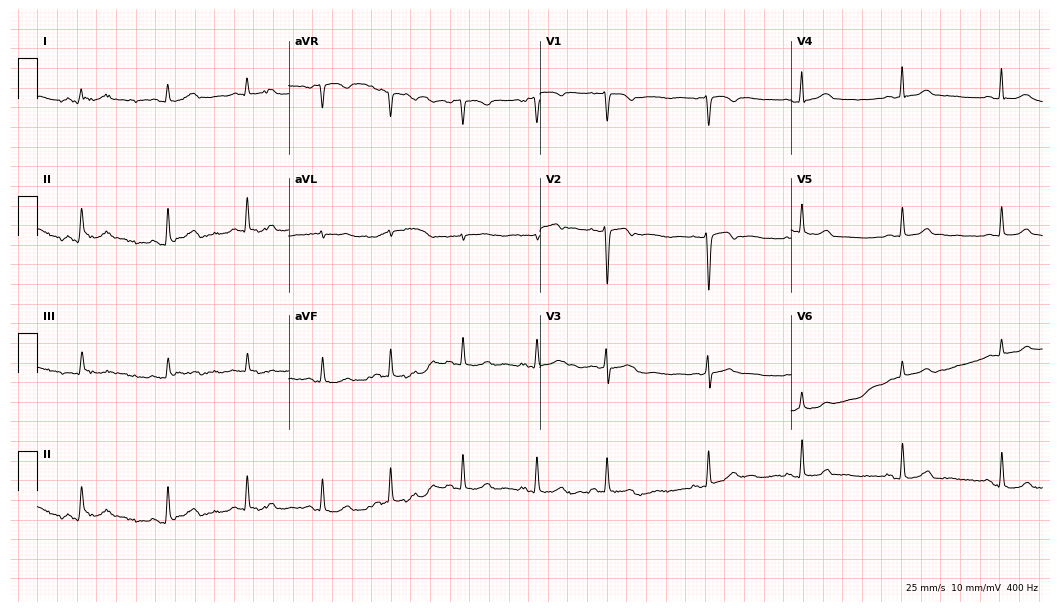
ECG — a female, 29 years old. Screened for six findings — first-degree AV block, right bundle branch block, left bundle branch block, sinus bradycardia, atrial fibrillation, sinus tachycardia — none is recorded. Only these six findings were labelled.